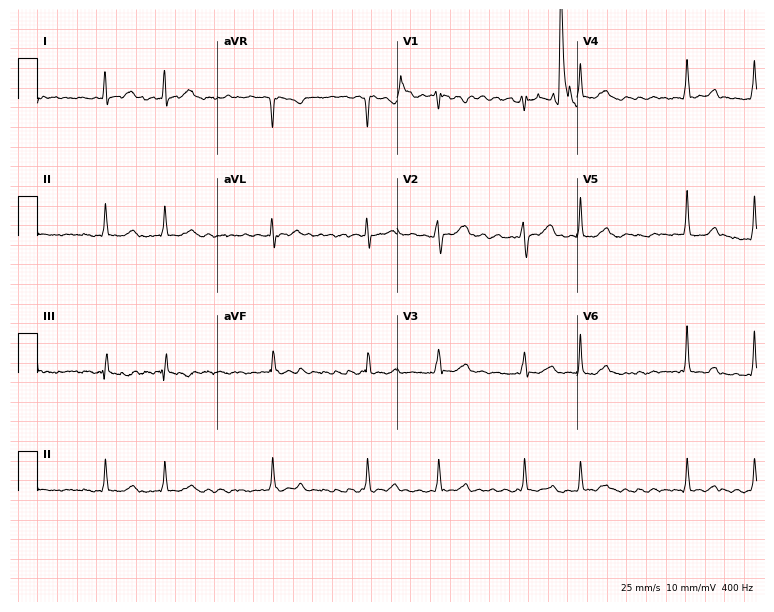
Electrocardiogram (7.3-second recording at 400 Hz), a man, 49 years old. Interpretation includes atrial fibrillation.